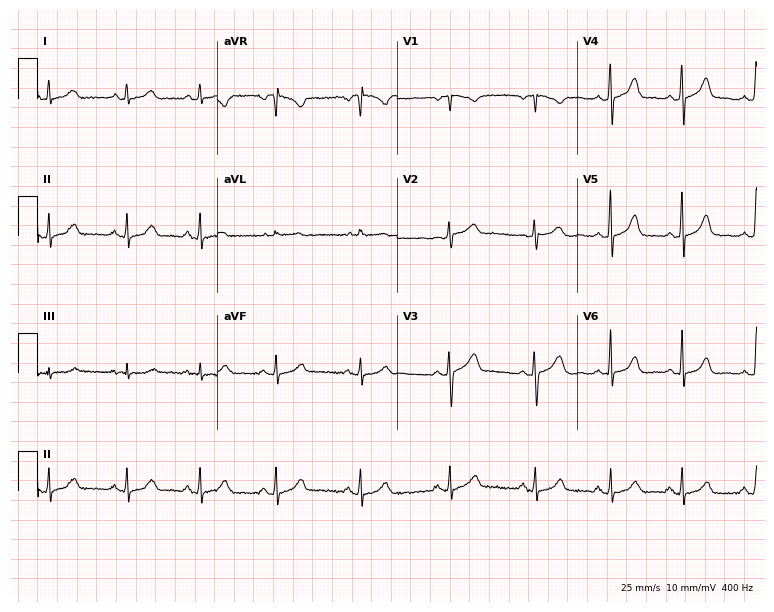
Resting 12-lead electrocardiogram. Patient: a 35-year-old female. Read as a normal ECG.